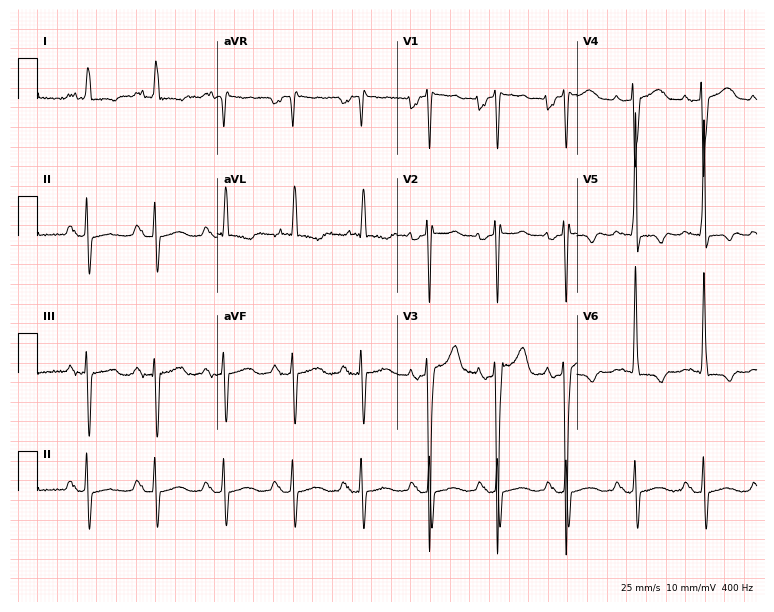
Resting 12-lead electrocardiogram. Patient: a male, 72 years old. None of these six findings is recorded: first-degree AV block, right bundle branch block, left bundle branch block, sinus bradycardia, atrial fibrillation, sinus tachycardia. Findings outside these six are not listed.